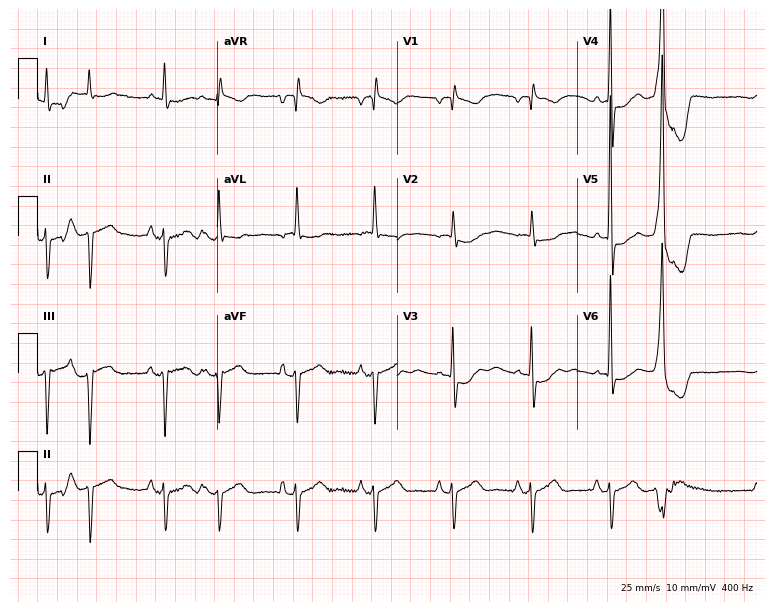
Standard 12-lead ECG recorded from a male, 81 years old. None of these six findings is recorded: first-degree AV block, right bundle branch block (RBBB), left bundle branch block (LBBB), sinus bradycardia, atrial fibrillation (AF), sinus tachycardia.